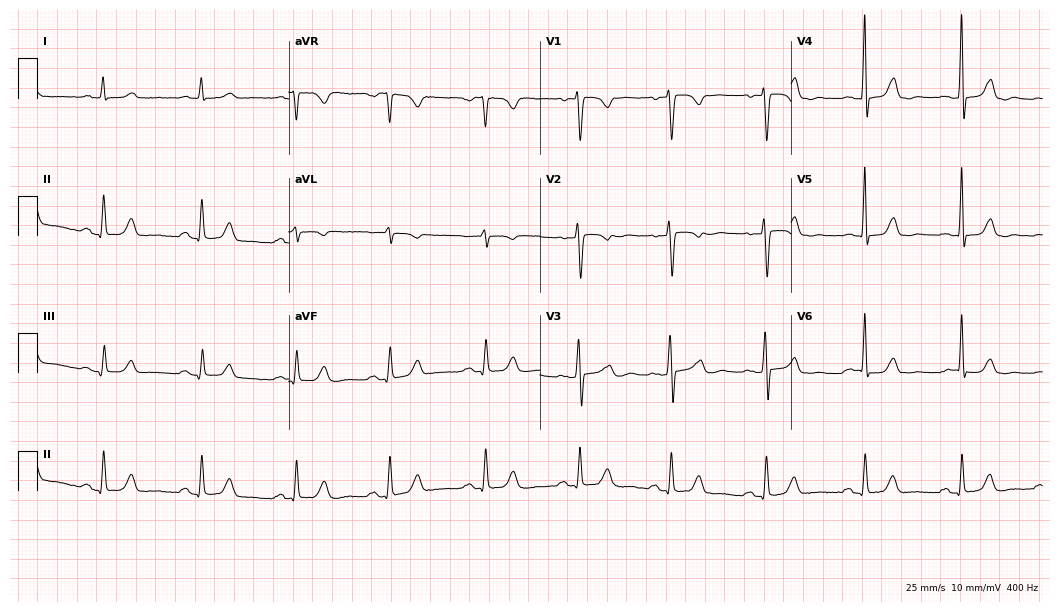
12-lead ECG from a female patient, 39 years old. Recorded interpretation: within normal limits.